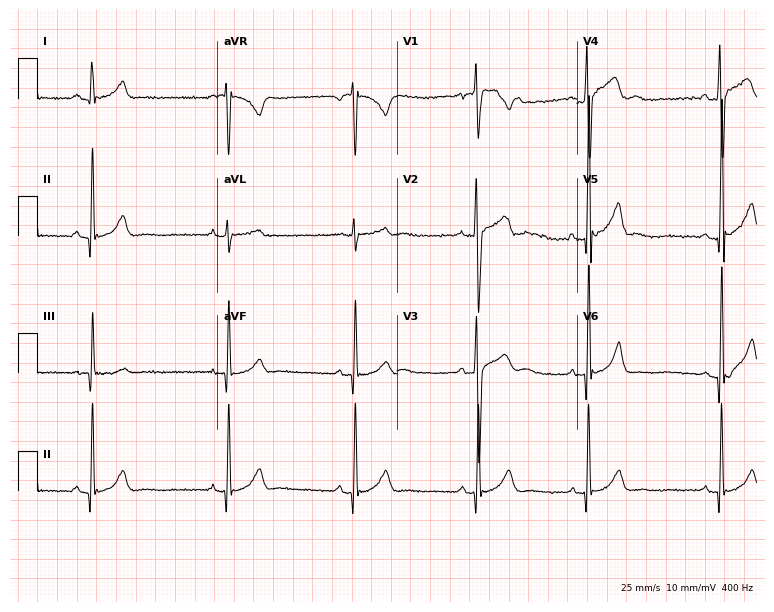
Resting 12-lead electrocardiogram. Patient: a 17-year-old male. The tracing shows sinus bradycardia (a sinus rate of 50 beats per minute or less).